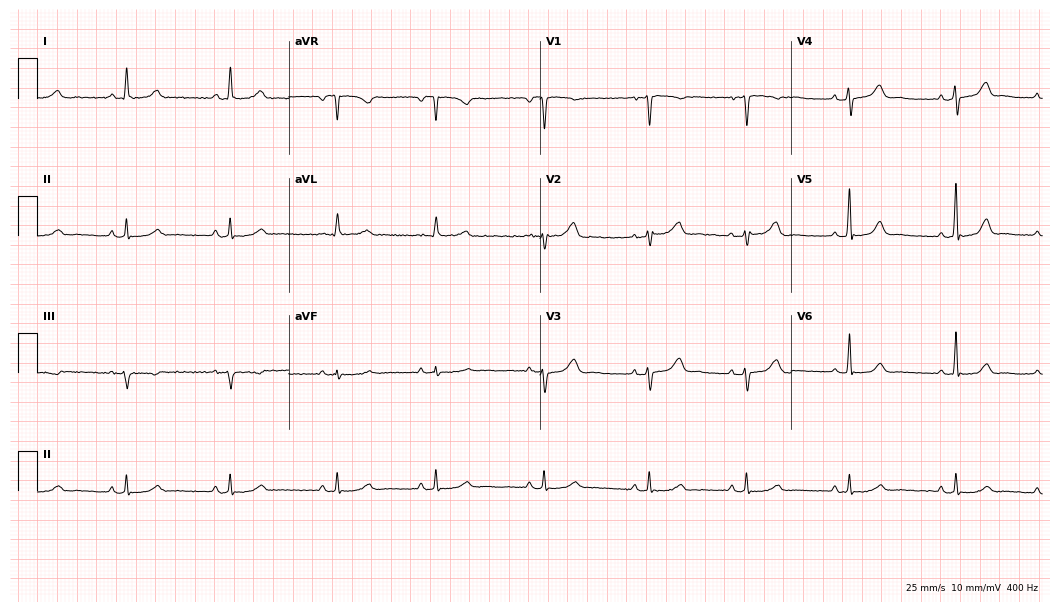
12-lead ECG from a 45-year-old female. Recorded interpretation: within normal limits.